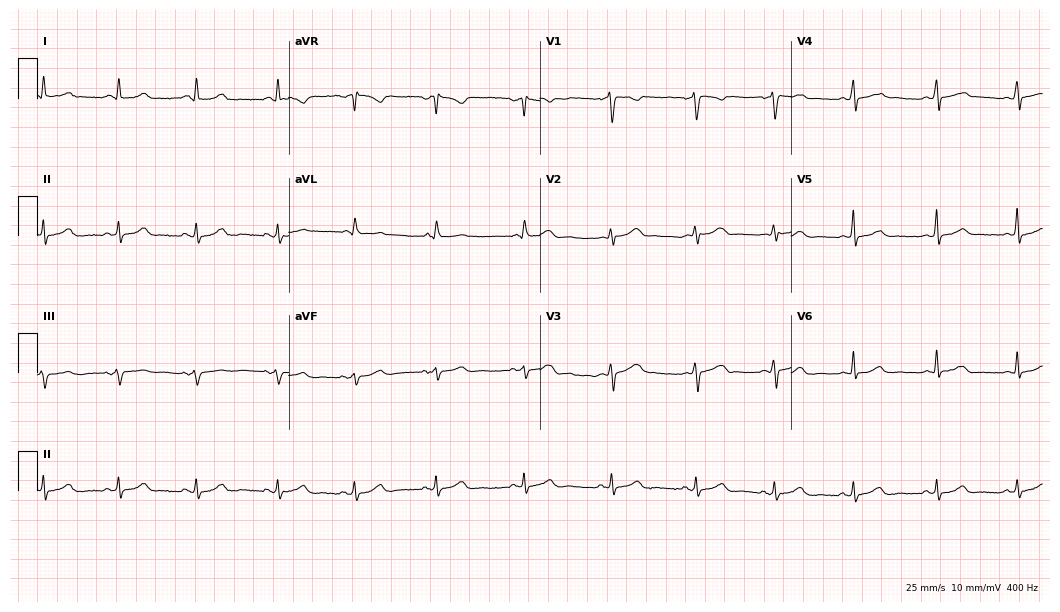
Electrocardiogram, a 40-year-old woman. Overall reading on record: normal ECG.